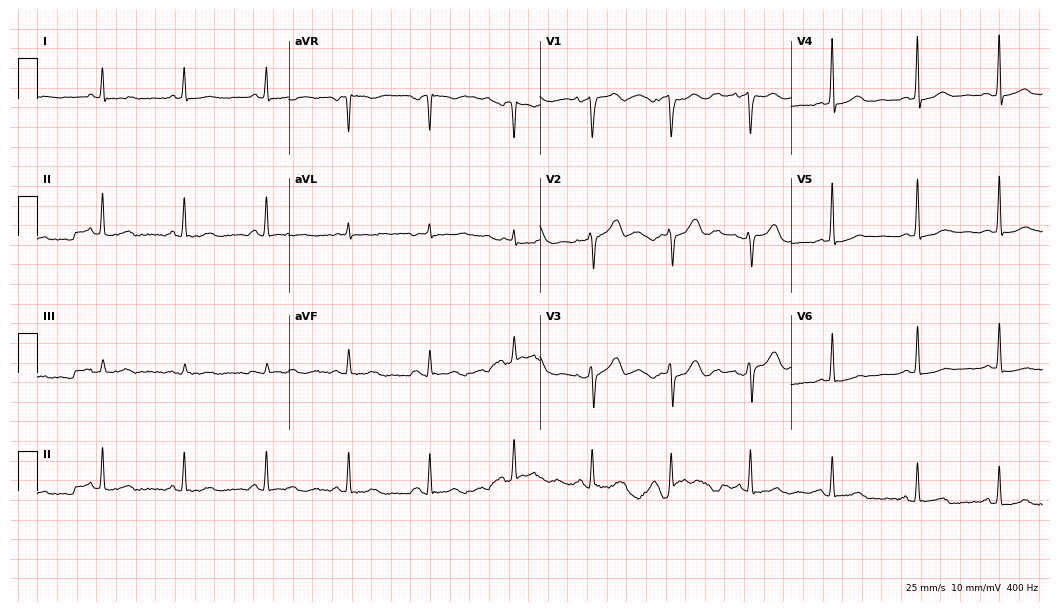
Electrocardiogram, a woman, 66 years old. Overall reading on record: normal ECG.